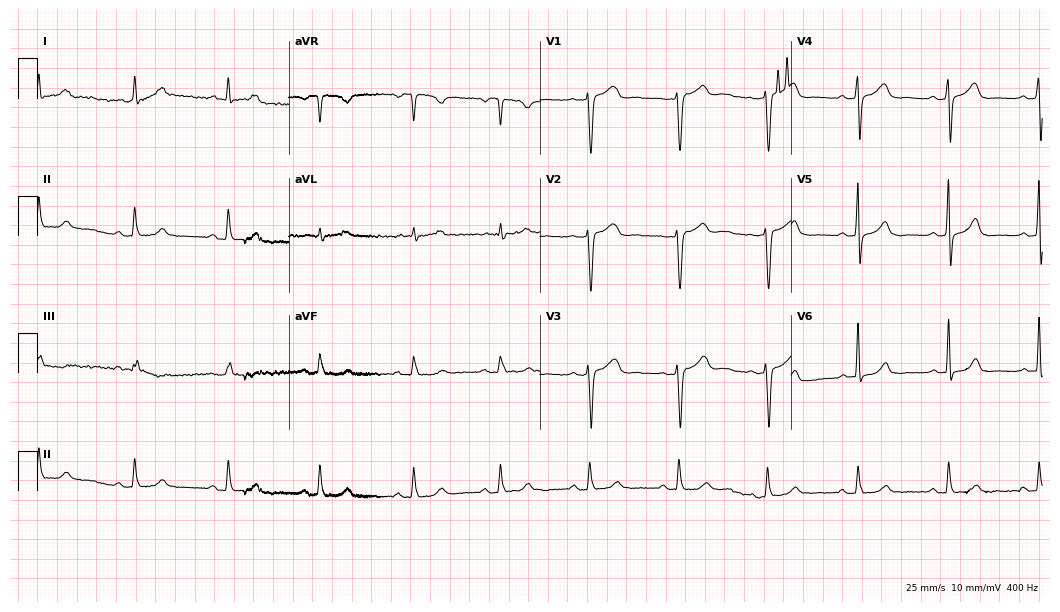
12-lead ECG from a 76-year-old female patient. Screened for six findings — first-degree AV block, right bundle branch block, left bundle branch block, sinus bradycardia, atrial fibrillation, sinus tachycardia — none is recorded. Only these six findings were labelled.